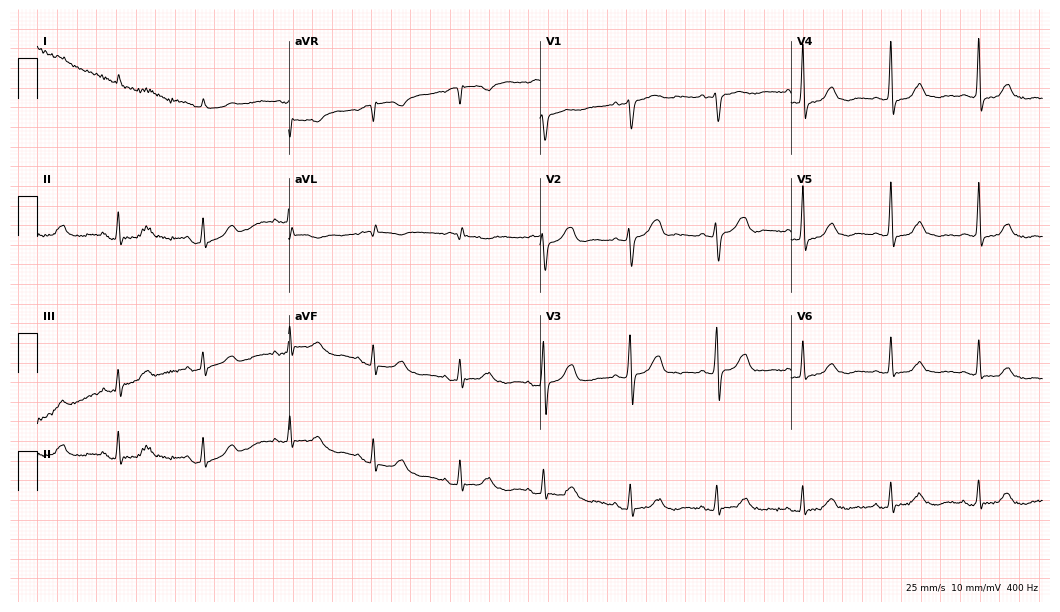
12-lead ECG from a female, 81 years old. Labelled as a normal ECG.